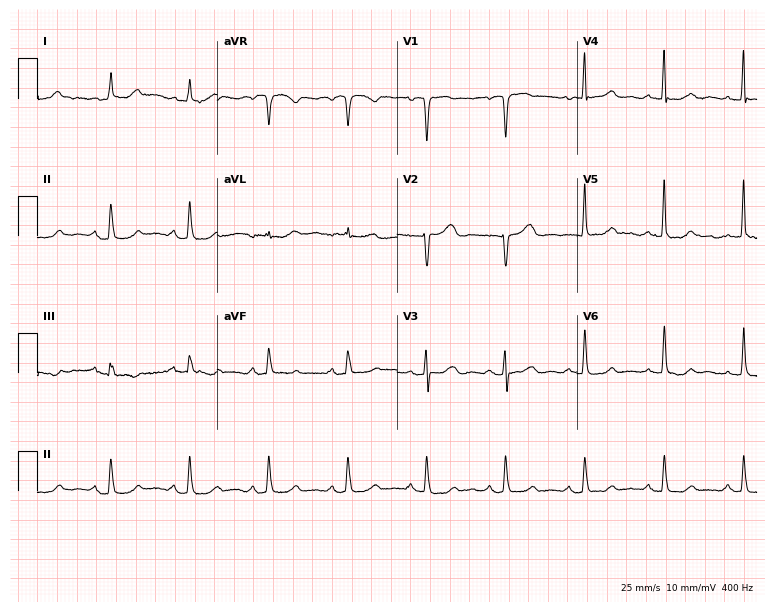
12-lead ECG (7.3-second recording at 400 Hz) from a 74-year-old female. Screened for six findings — first-degree AV block, right bundle branch block, left bundle branch block, sinus bradycardia, atrial fibrillation, sinus tachycardia — none is recorded.